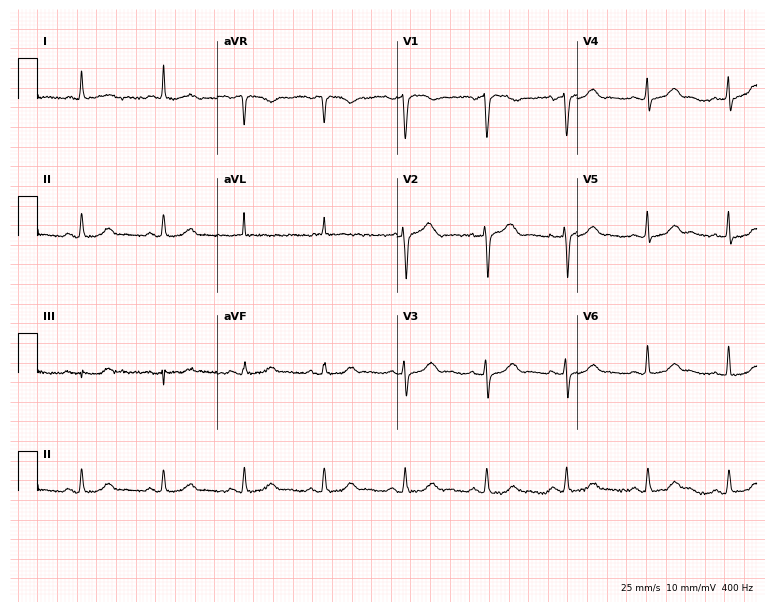
Standard 12-lead ECG recorded from a woman, 77 years old (7.3-second recording at 400 Hz). Read as a normal ECG.